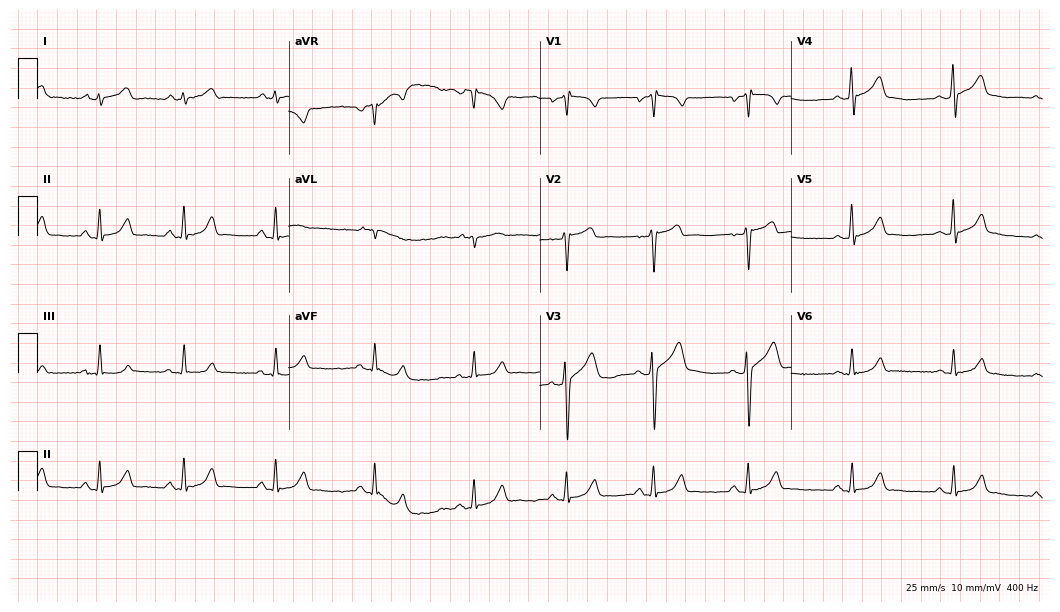
Standard 12-lead ECG recorded from a 30-year-old man (10.2-second recording at 400 Hz). Read as a normal ECG.